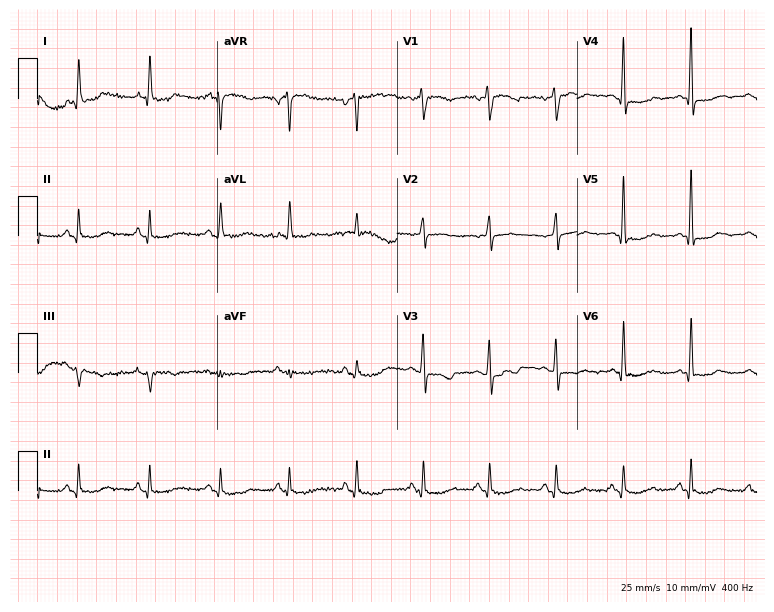
12-lead ECG from a 55-year-old woman. No first-degree AV block, right bundle branch block, left bundle branch block, sinus bradycardia, atrial fibrillation or sinus tachycardia recorded for this tracing. Findings outside these six are not listed.